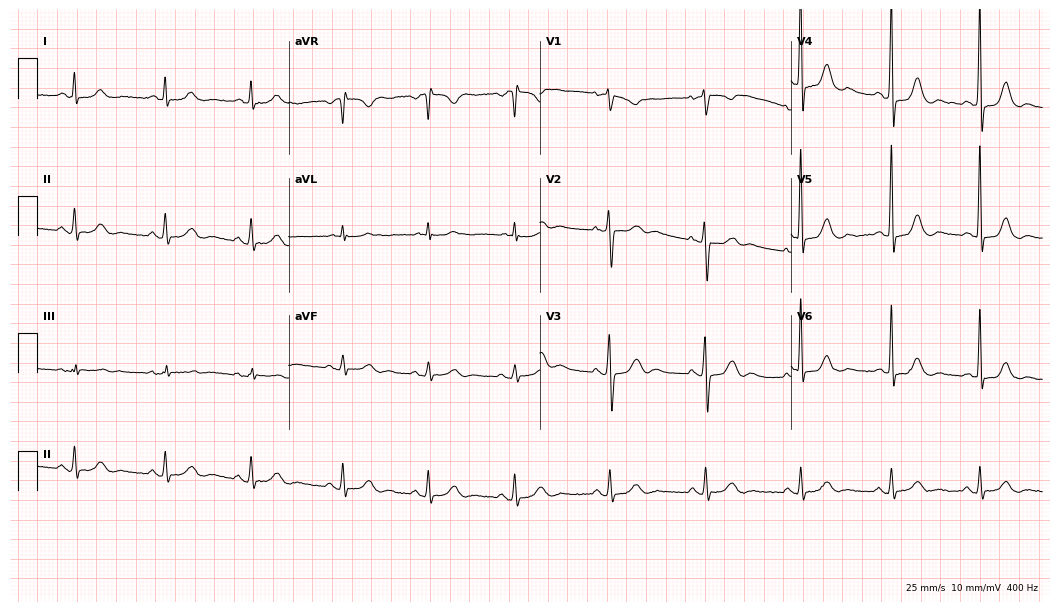
Electrocardiogram (10.2-second recording at 400 Hz), a 66-year-old male. Overall reading on record: normal ECG.